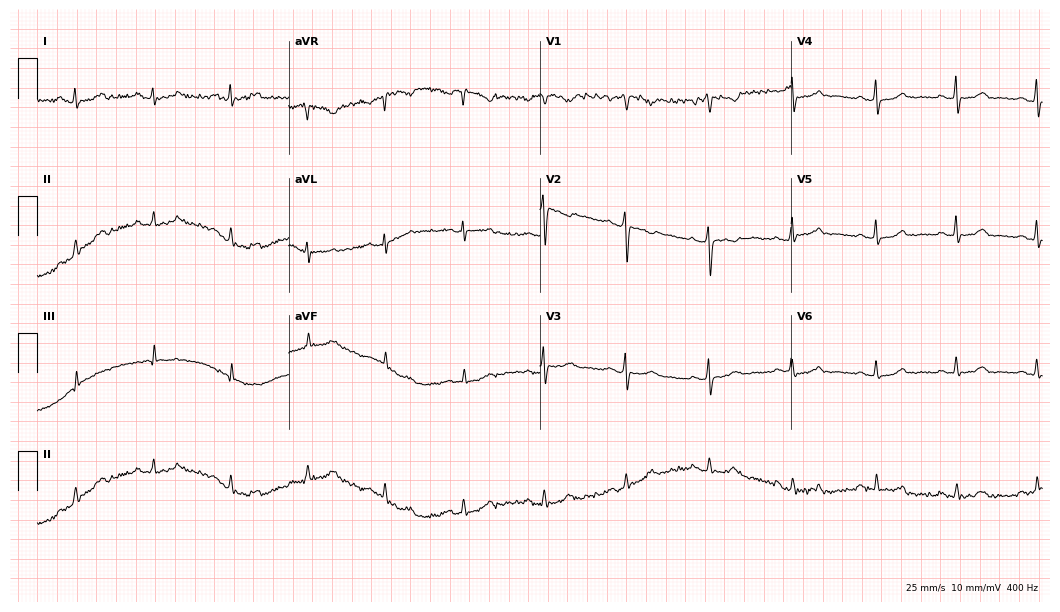
Resting 12-lead electrocardiogram. Patient: a man, 35 years old. None of these six findings is recorded: first-degree AV block, right bundle branch block, left bundle branch block, sinus bradycardia, atrial fibrillation, sinus tachycardia. Findings outside these six are not listed.